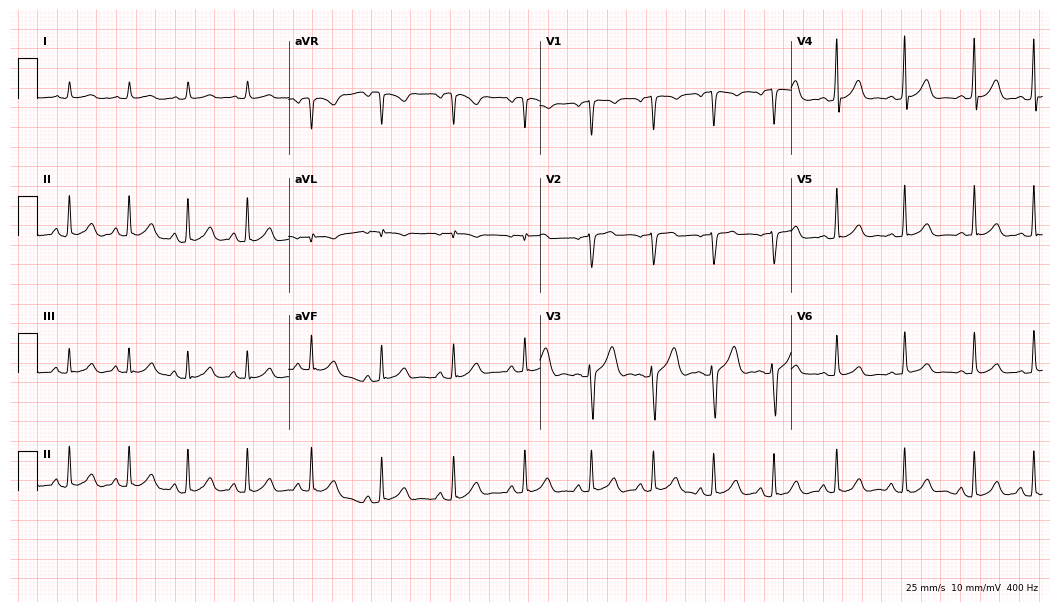
12-lead ECG (10.2-second recording at 400 Hz) from a man, 43 years old. Screened for six findings — first-degree AV block, right bundle branch block, left bundle branch block, sinus bradycardia, atrial fibrillation, sinus tachycardia — none is recorded.